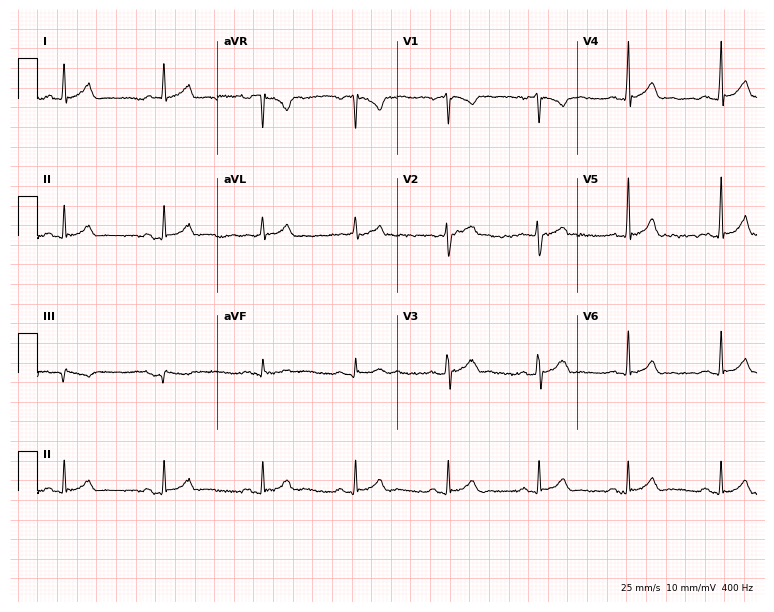
Standard 12-lead ECG recorded from a 44-year-old woman (7.3-second recording at 400 Hz). Read as a normal ECG.